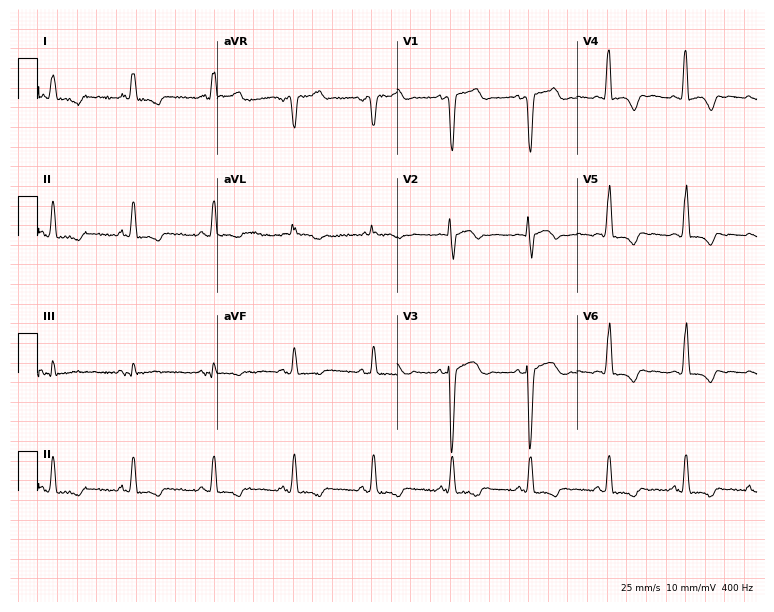
Resting 12-lead electrocardiogram. Patient: an 85-year-old man. None of these six findings is recorded: first-degree AV block, right bundle branch block (RBBB), left bundle branch block (LBBB), sinus bradycardia, atrial fibrillation (AF), sinus tachycardia. Findings outside these six are not listed.